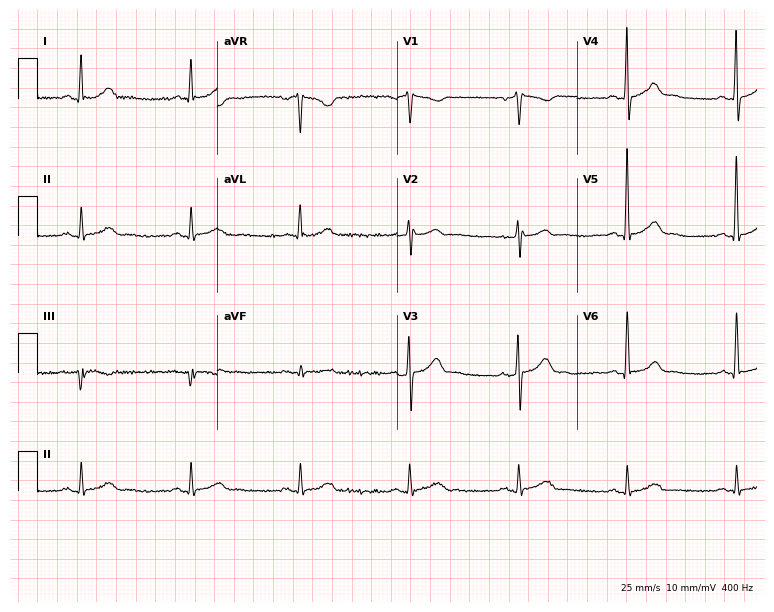
ECG (7.3-second recording at 400 Hz) — a 68-year-old male patient. Labelled as a normal ECG.